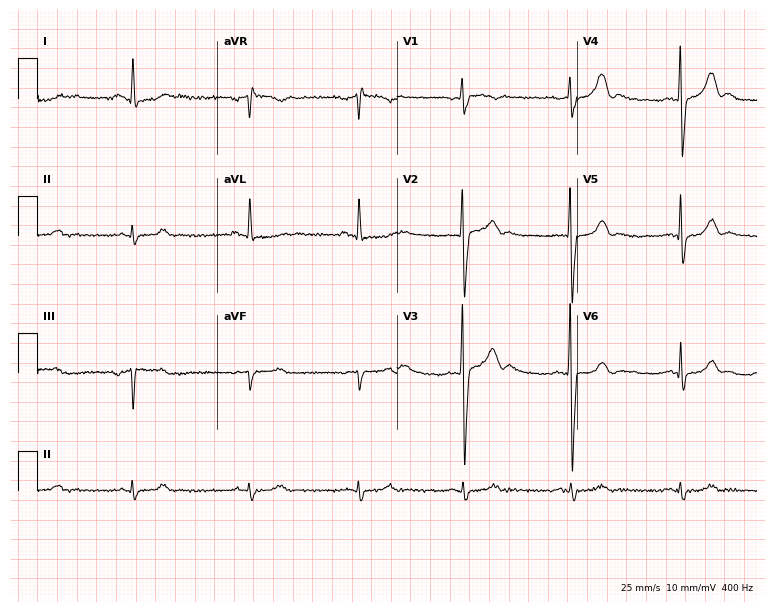
Standard 12-lead ECG recorded from a man, 64 years old (7.3-second recording at 400 Hz). None of these six findings is recorded: first-degree AV block, right bundle branch block, left bundle branch block, sinus bradycardia, atrial fibrillation, sinus tachycardia. Only these six findings were labelled.